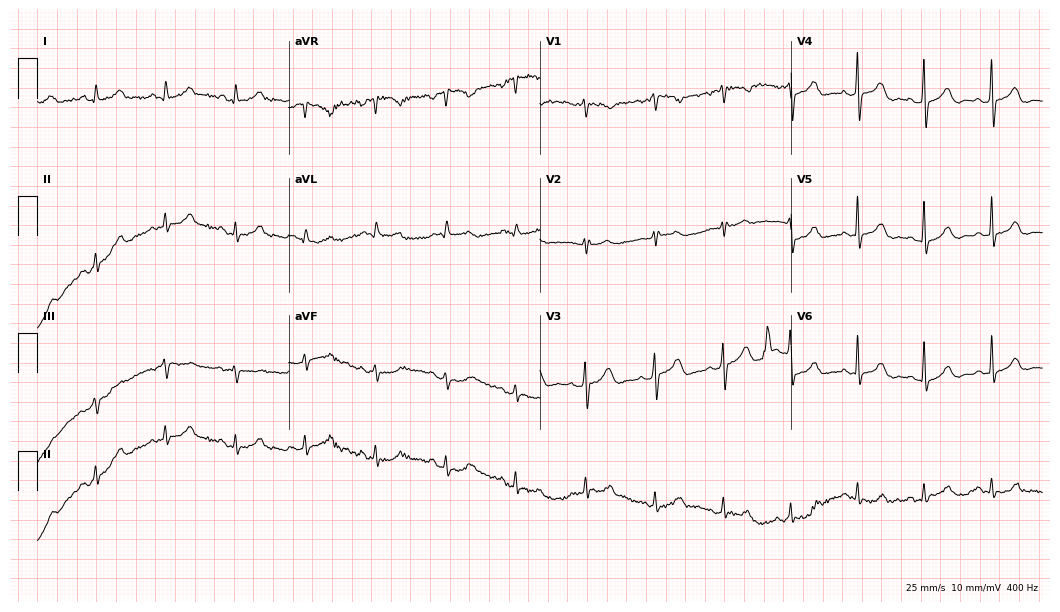
Standard 12-lead ECG recorded from a male patient, 52 years old. None of these six findings is recorded: first-degree AV block, right bundle branch block, left bundle branch block, sinus bradycardia, atrial fibrillation, sinus tachycardia.